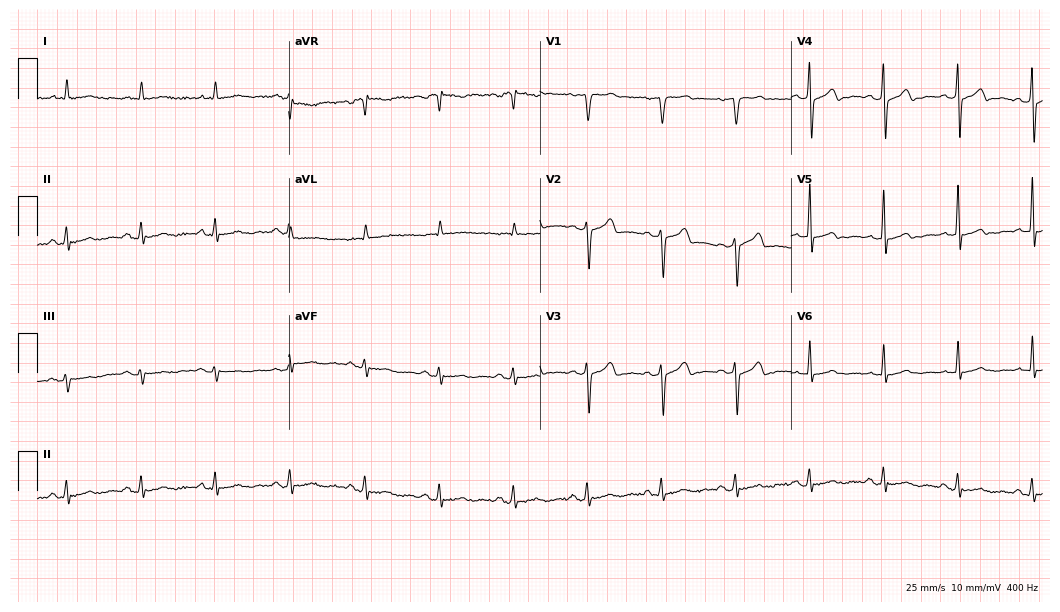
Standard 12-lead ECG recorded from an 81-year-old man. None of these six findings is recorded: first-degree AV block, right bundle branch block (RBBB), left bundle branch block (LBBB), sinus bradycardia, atrial fibrillation (AF), sinus tachycardia. Only these six findings were labelled.